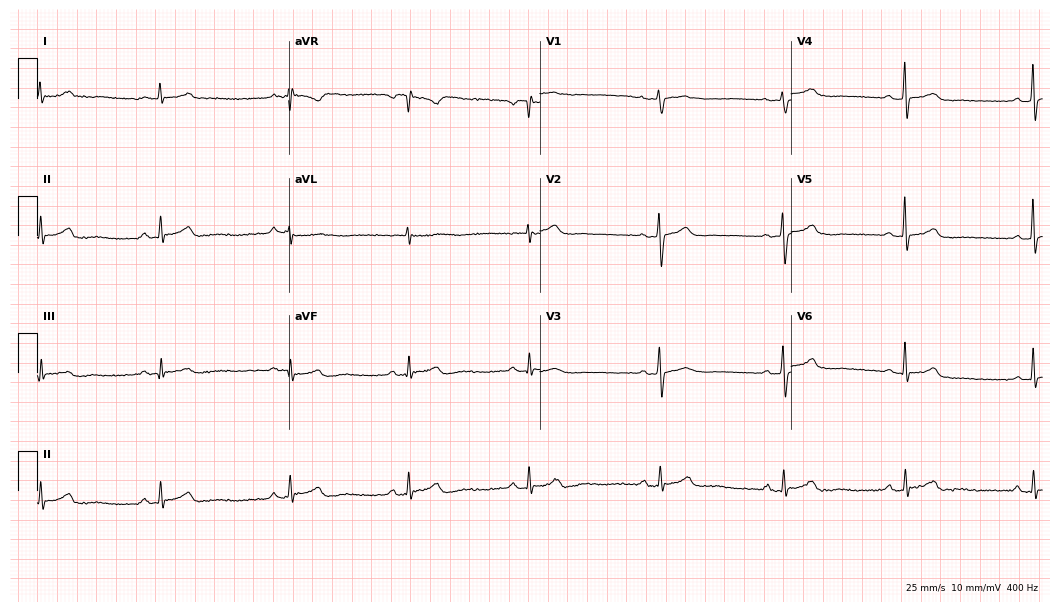
ECG (10.2-second recording at 400 Hz) — a woman, 57 years old. Findings include sinus bradycardia (a sinus rate of 50 beats per minute or less).